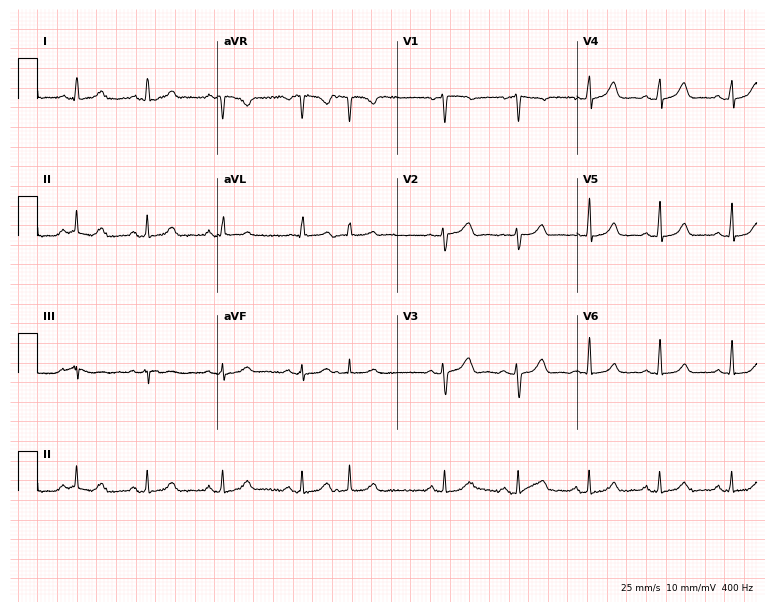
Electrocardiogram, a 55-year-old female patient. Overall reading on record: normal ECG.